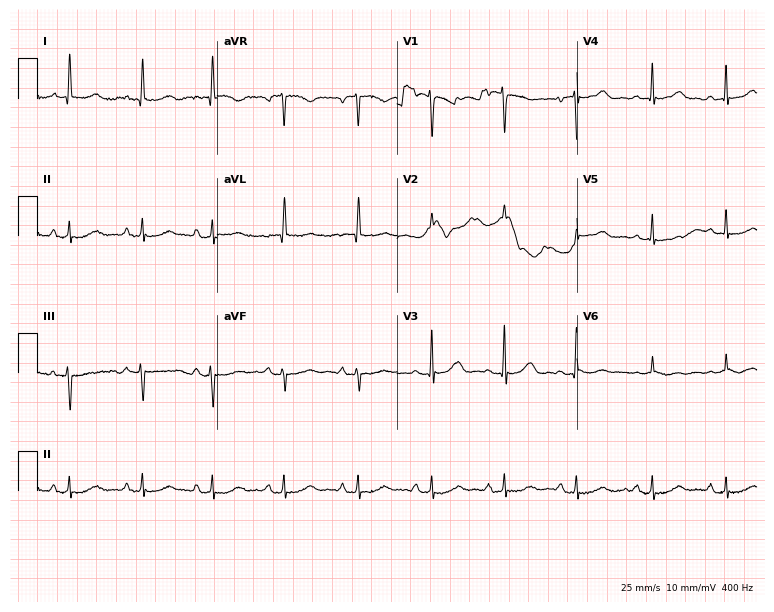
12-lead ECG (7.3-second recording at 400 Hz) from a female patient, 74 years old. Labelled as a normal ECG.